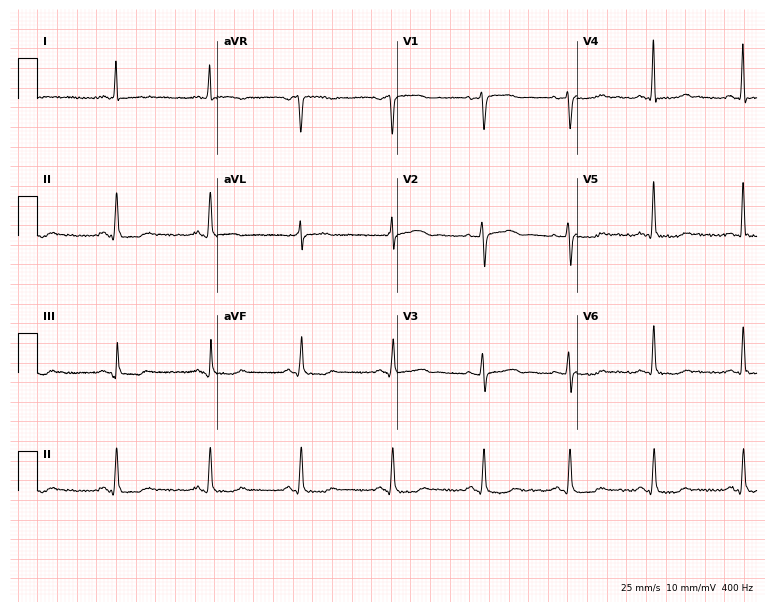
Standard 12-lead ECG recorded from a woman, 53 years old. Read as a normal ECG.